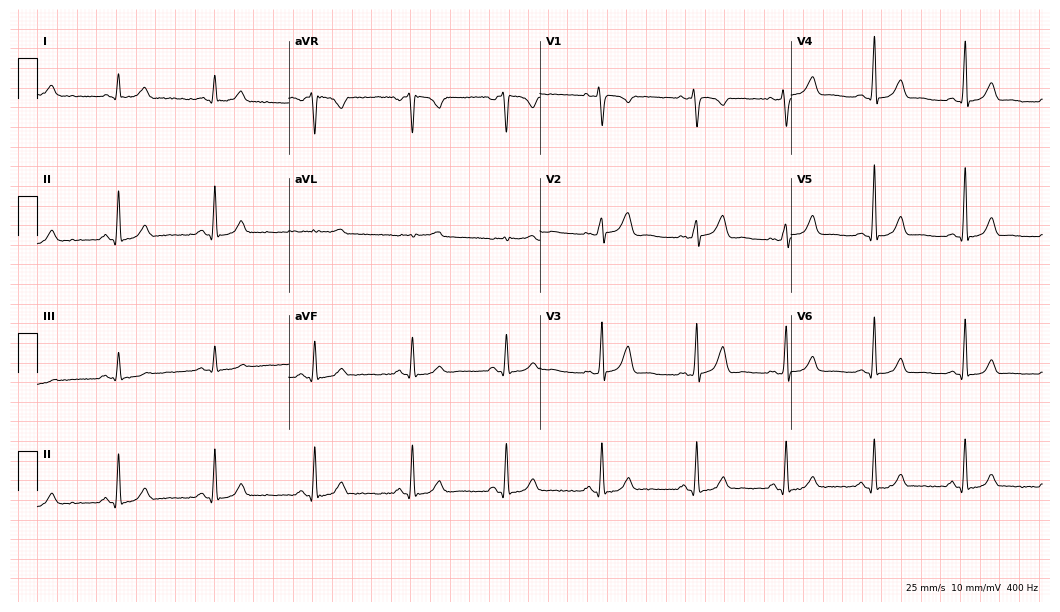
12-lead ECG from a 42-year-old female (10.2-second recording at 400 Hz). No first-degree AV block, right bundle branch block, left bundle branch block, sinus bradycardia, atrial fibrillation or sinus tachycardia recorded for this tracing. Findings outside these six are not listed.